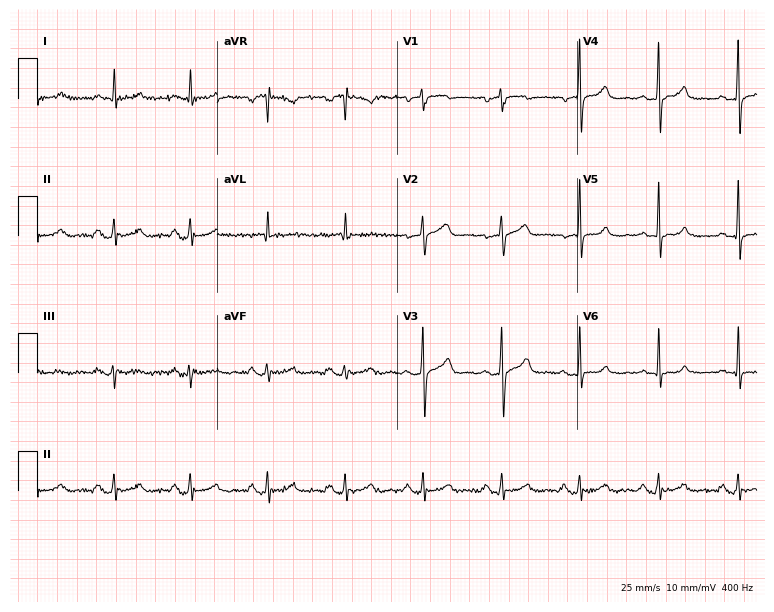
12-lead ECG (7.3-second recording at 400 Hz) from a male, 57 years old. Screened for six findings — first-degree AV block, right bundle branch block, left bundle branch block, sinus bradycardia, atrial fibrillation, sinus tachycardia — none is recorded. Other findings, if any, are not listed.